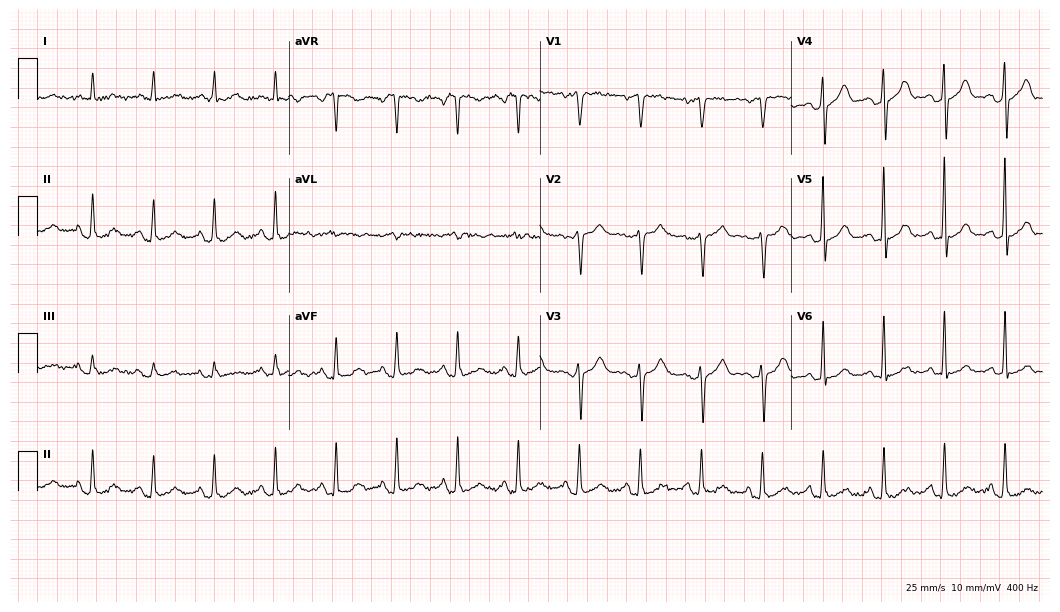
ECG (10.2-second recording at 400 Hz) — a female patient, 74 years old. Labelled as a normal ECG.